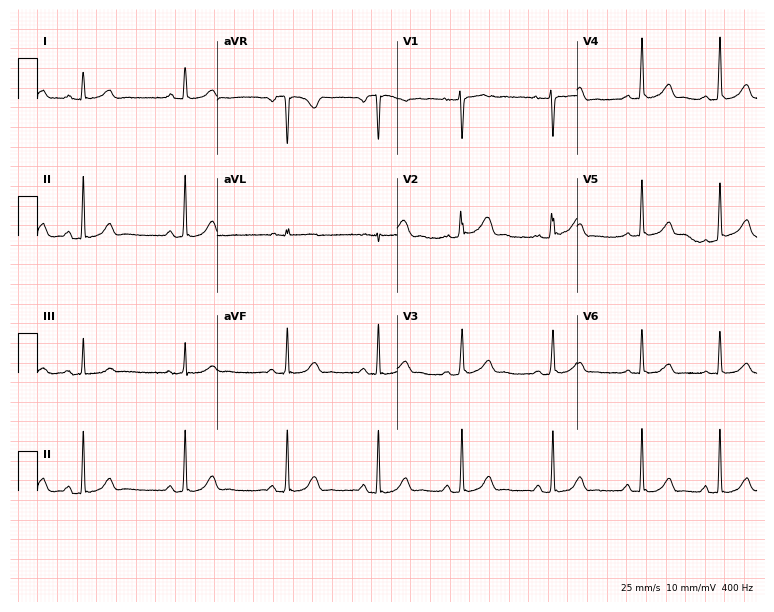
Resting 12-lead electrocardiogram (7.3-second recording at 400 Hz). Patient: a 25-year-old female. Read as a normal ECG.